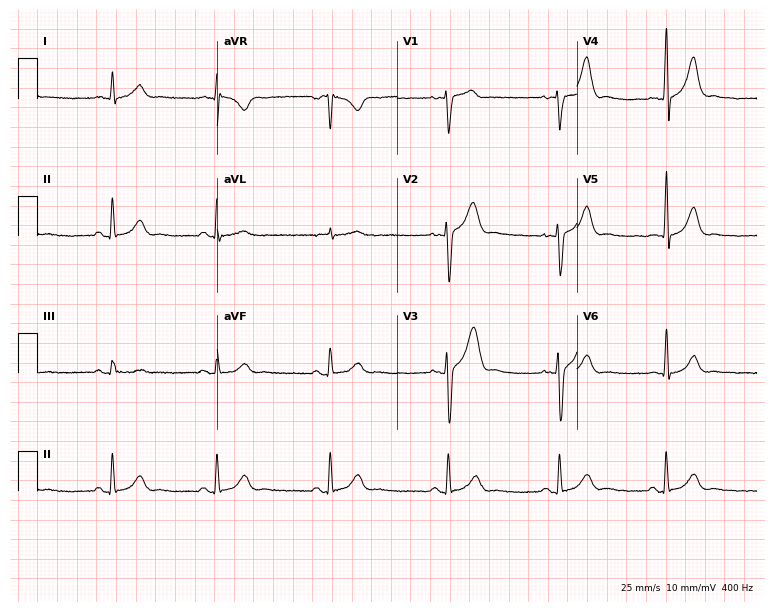
12-lead ECG from a male, 30 years old (7.3-second recording at 400 Hz). Recorded interpretation: within normal limits.